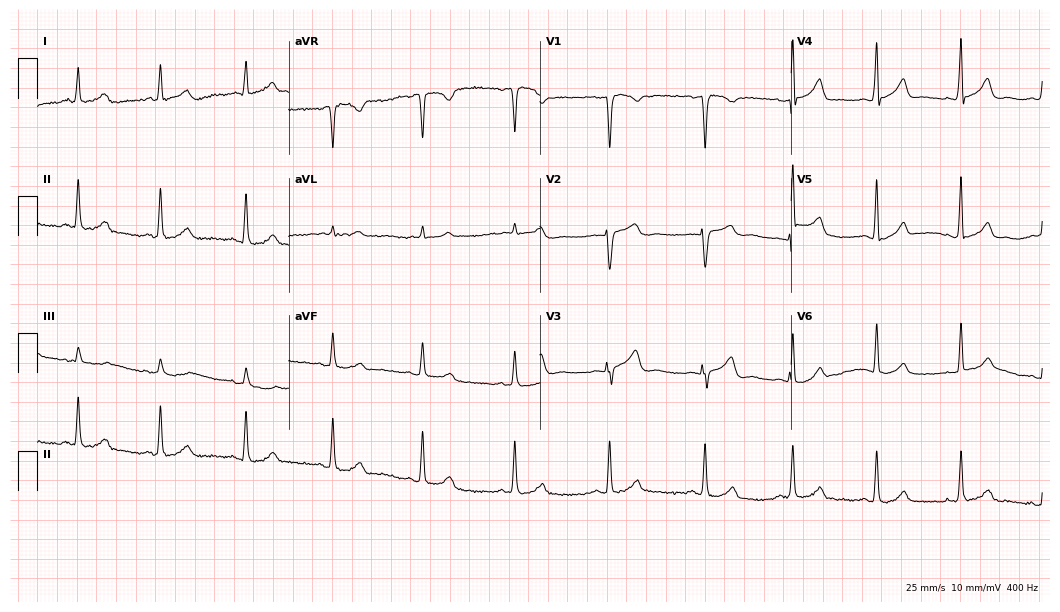
12-lead ECG from a 34-year-old woman. Recorded interpretation: within normal limits.